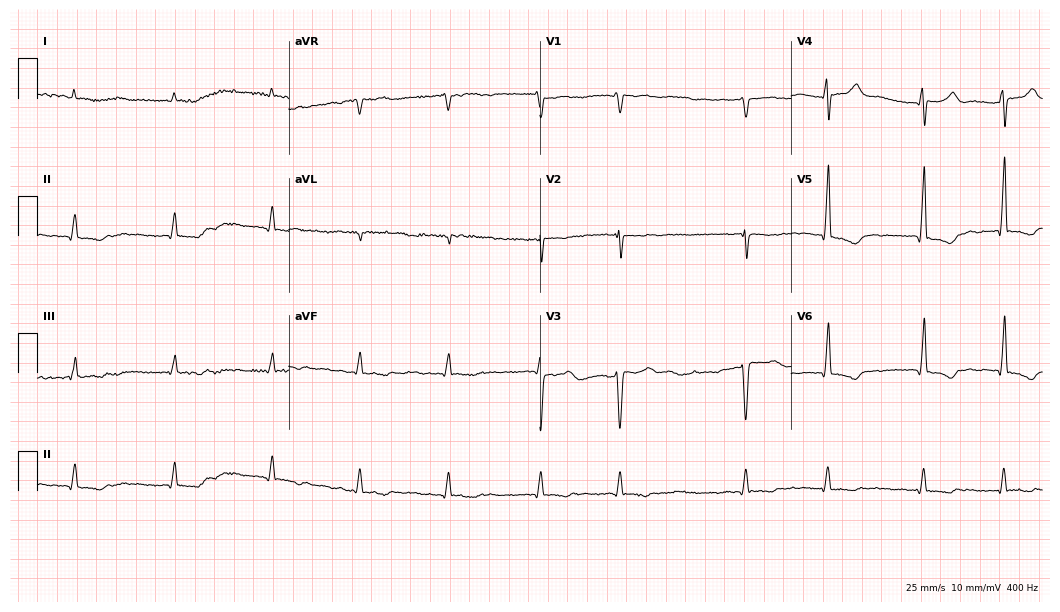
ECG — a 79-year-old man. Findings include atrial fibrillation.